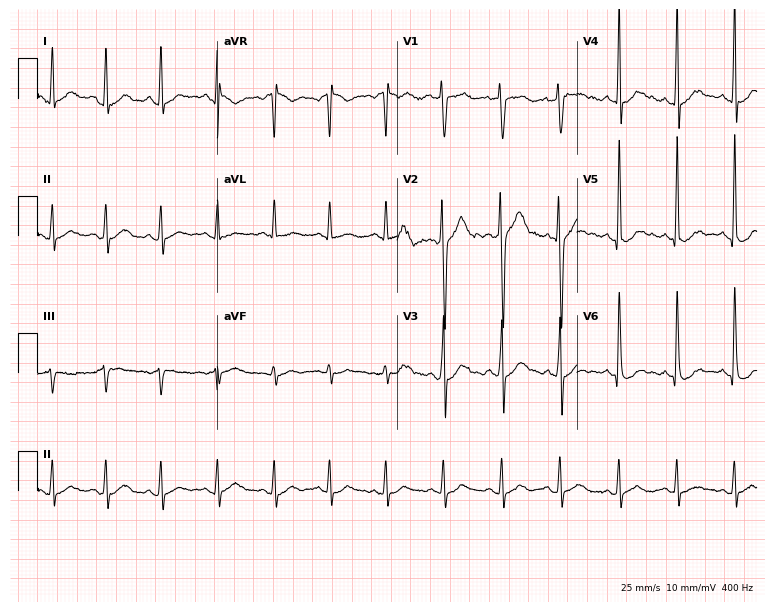
12-lead ECG from an 18-year-old man. Labelled as a normal ECG.